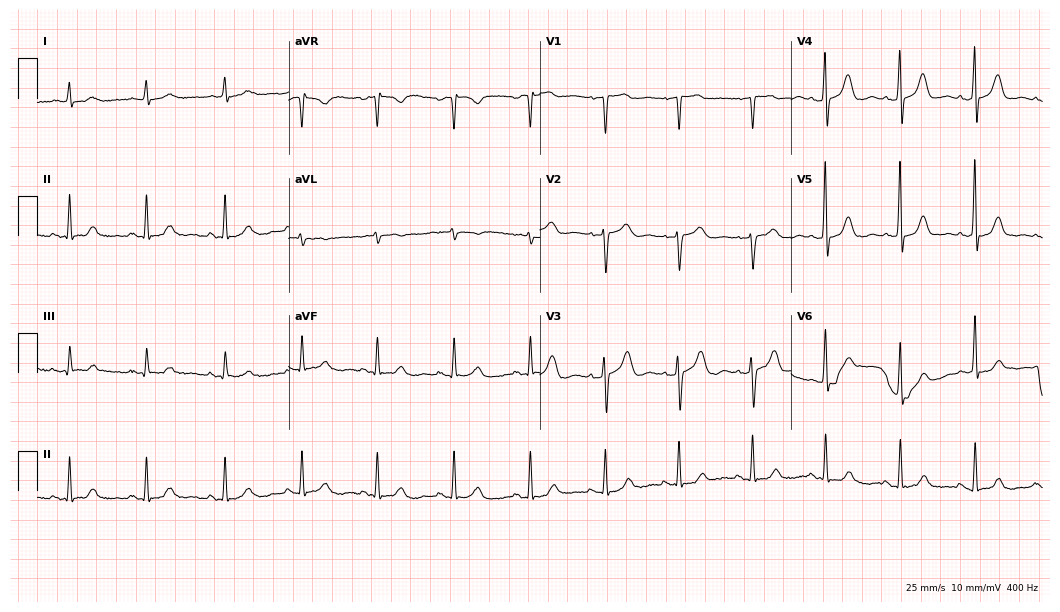
Resting 12-lead electrocardiogram (10.2-second recording at 400 Hz). Patient: an 81-year-old female. None of these six findings is recorded: first-degree AV block, right bundle branch block, left bundle branch block, sinus bradycardia, atrial fibrillation, sinus tachycardia.